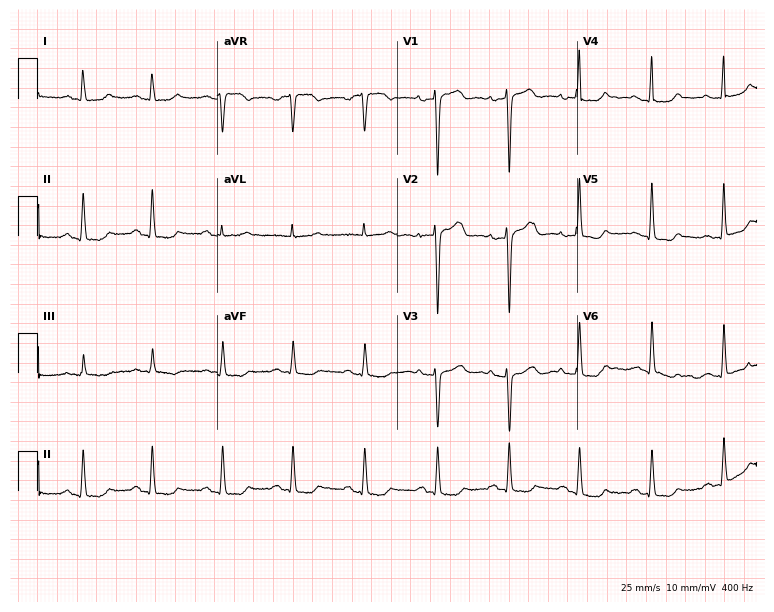
12-lead ECG (7.3-second recording at 400 Hz) from a female patient, 62 years old. Screened for six findings — first-degree AV block, right bundle branch block (RBBB), left bundle branch block (LBBB), sinus bradycardia, atrial fibrillation (AF), sinus tachycardia — none is recorded. Findings outside these six are not listed.